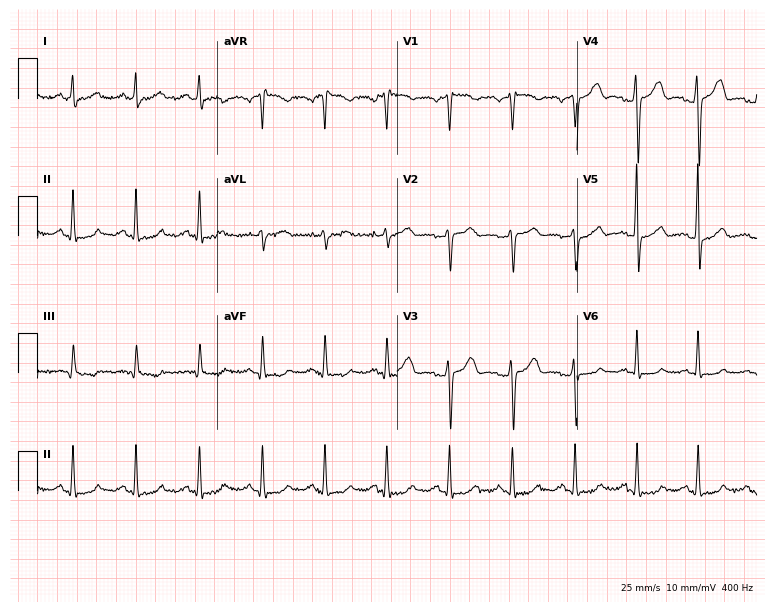
12-lead ECG from a 46-year-old female. No first-degree AV block, right bundle branch block, left bundle branch block, sinus bradycardia, atrial fibrillation or sinus tachycardia recorded for this tracing.